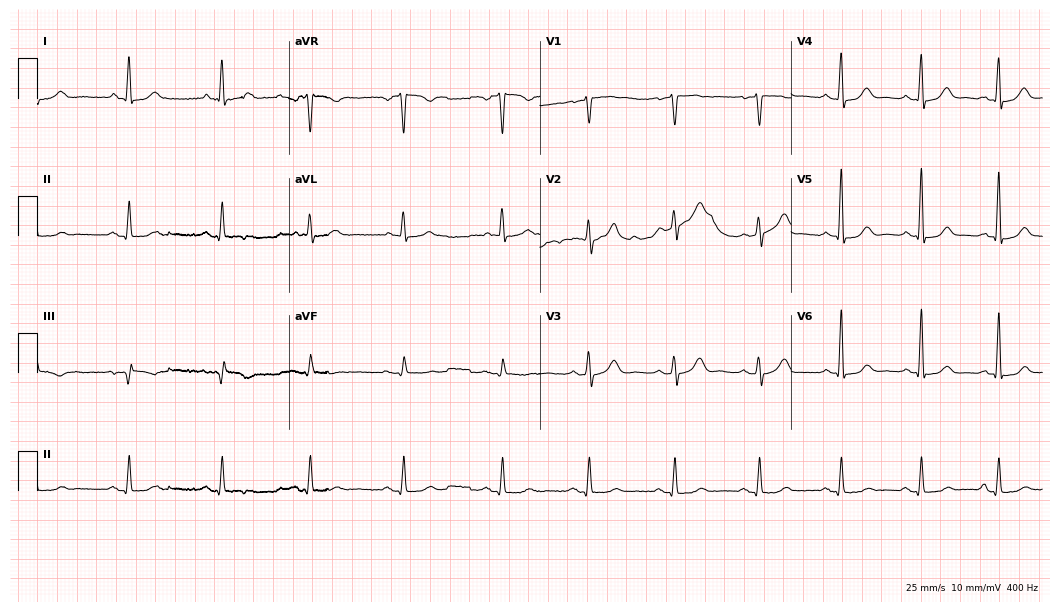
12-lead ECG from a 48-year-old woman. No first-degree AV block, right bundle branch block, left bundle branch block, sinus bradycardia, atrial fibrillation or sinus tachycardia recorded for this tracing. Only these six findings were labelled.